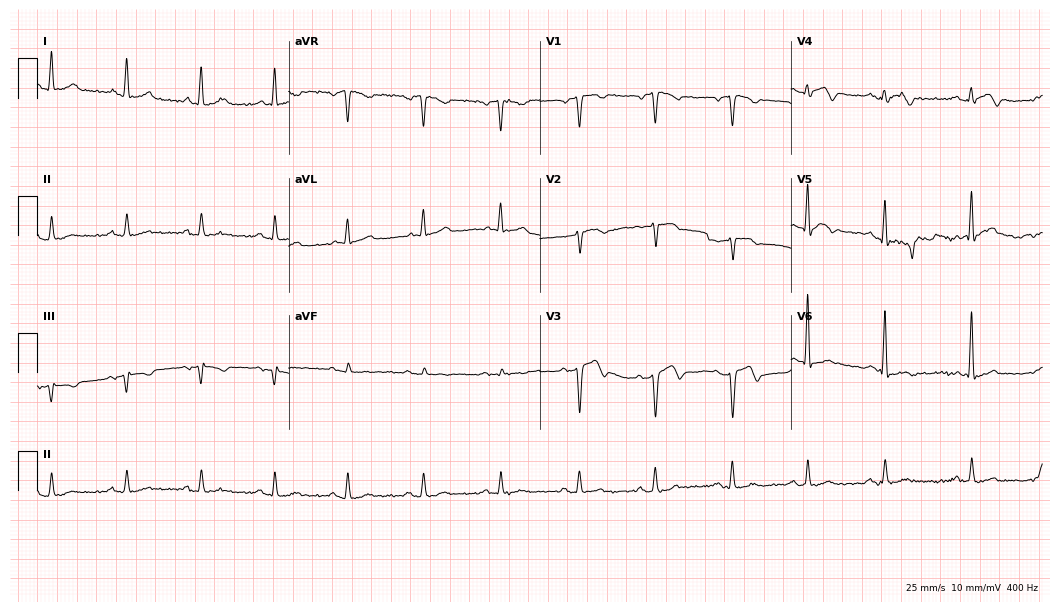
ECG (10.2-second recording at 400 Hz) — a woman, 75 years old. Screened for six findings — first-degree AV block, right bundle branch block, left bundle branch block, sinus bradycardia, atrial fibrillation, sinus tachycardia — none is recorded. Only these six findings were labelled.